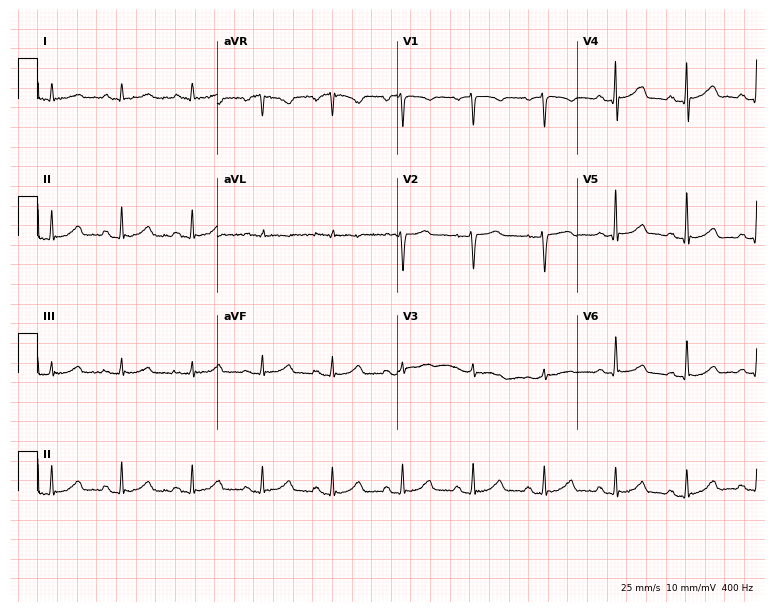
Electrocardiogram (7.3-second recording at 400 Hz), a 61-year-old female. Overall reading on record: normal ECG.